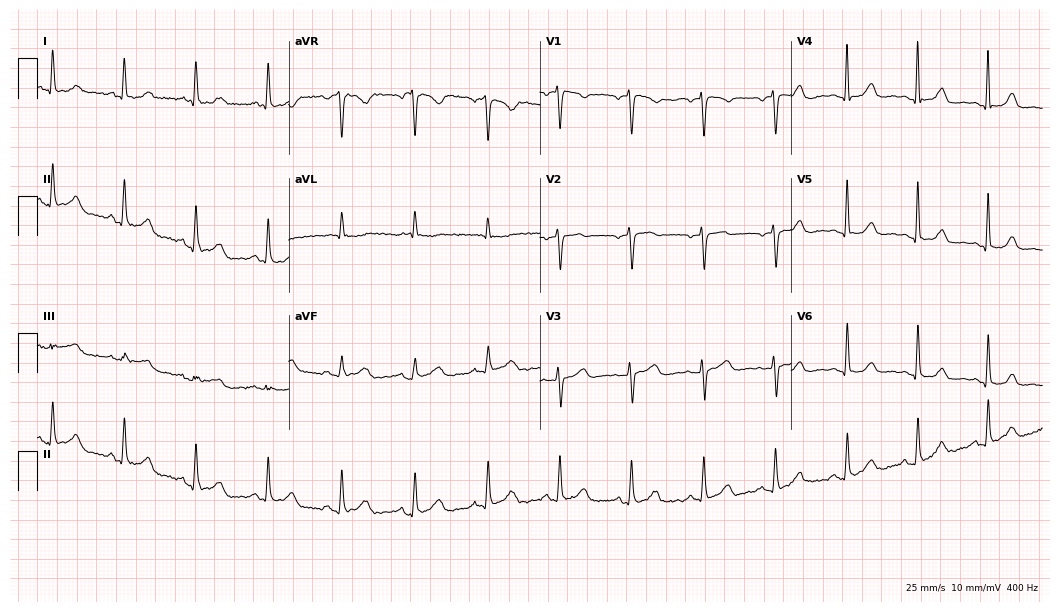
12-lead ECG from a woman, 78 years old (10.2-second recording at 400 Hz). Recorded interpretation: within normal limits.